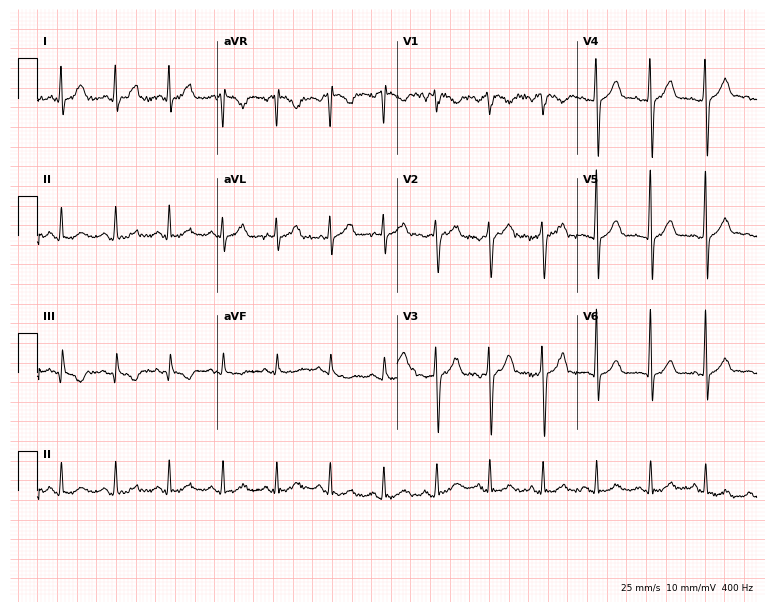
ECG — a male patient, 46 years old. Findings include sinus tachycardia (a sinus rate of 100 beats per minute or more).